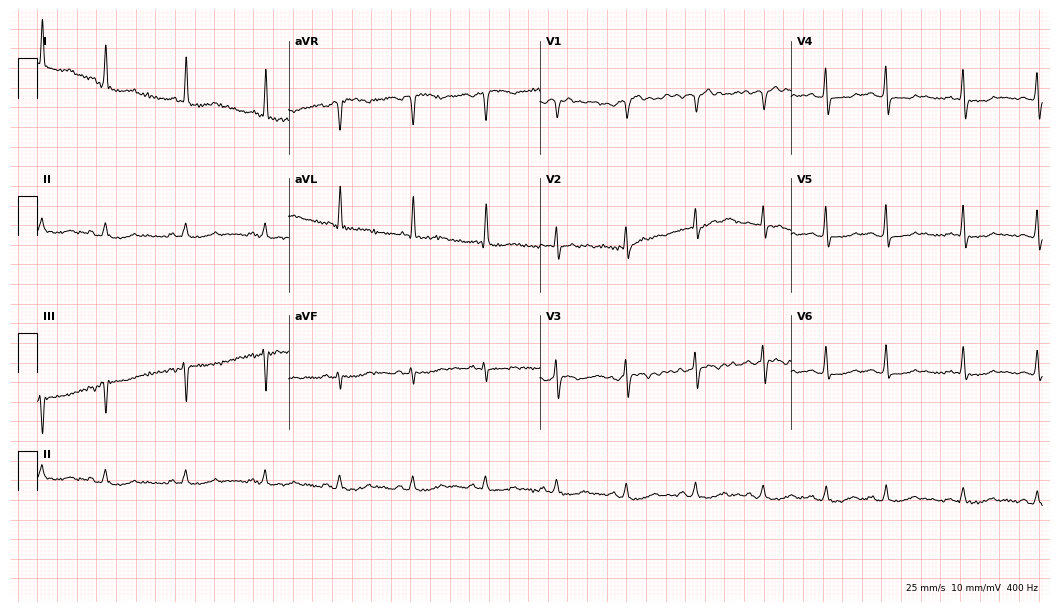
ECG (10.2-second recording at 400 Hz) — a female, 74 years old. Screened for six findings — first-degree AV block, right bundle branch block, left bundle branch block, sinus bradycardia, atrial fibrillation, sinus tachycardia — none is recorded. Other findings, if any, are not listed.